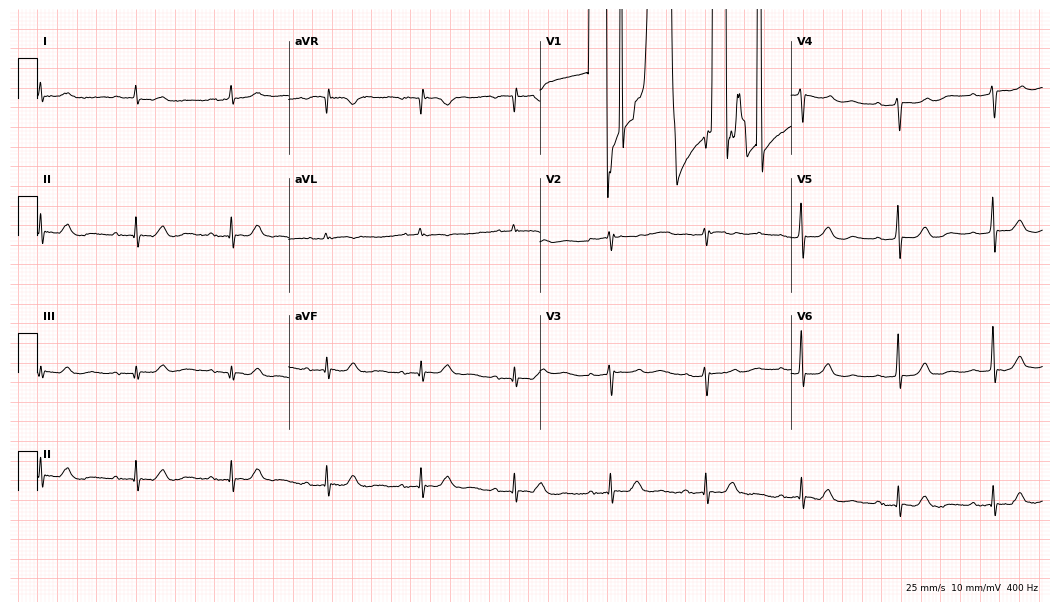
ECG (10.2-second recording at 400 Hz) — an 82-year-old woman. Screened for six findings — first-degree AV block, right bundle branch block, left bundle branch block, sinus bradycardia, atrial fibrillation, sinus tachycardia — none is recorded.